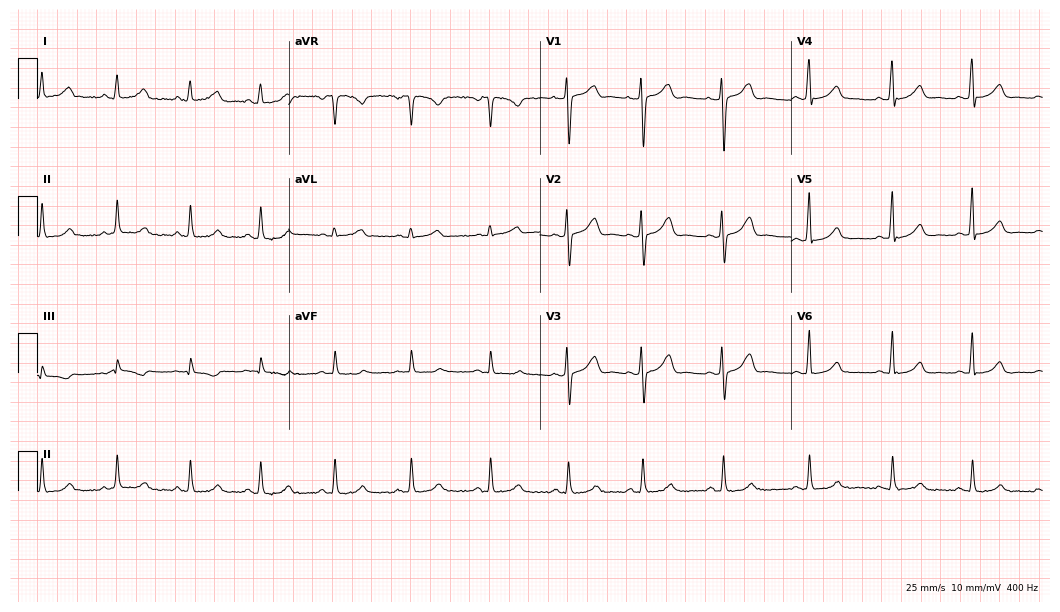
Electrocardiogram (10.2-second recording at 400 Hz), a 50-year-old female. Of the six screened findings (first-degree AV block, right bundle branch block (RBBB), left bundle branch block (LBBB), sinus bradycardia, atrial fibrillation (AF), sinus tachycardia), none is recorded. Other findings, if any, are not listed.